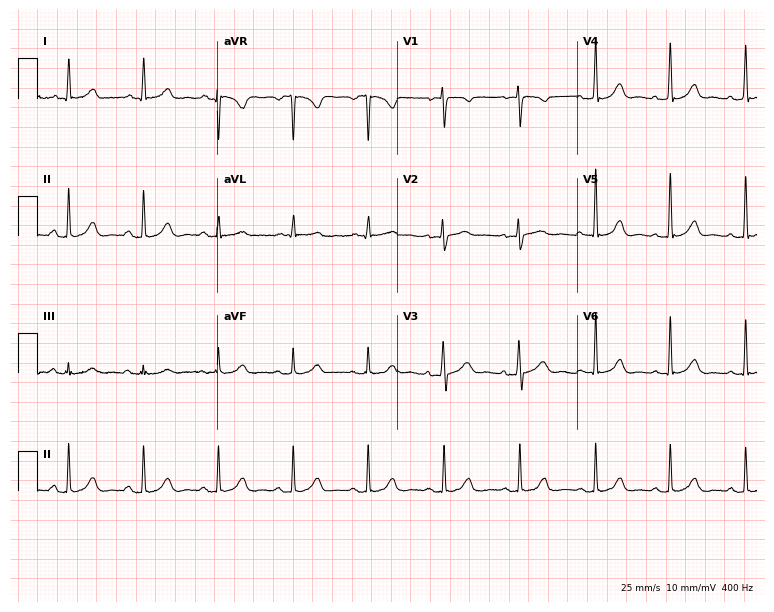
Electrocardiogram (7.3-second recording at 400 Hz), a 51-year-old female patient. Of the six screened findings (first-degree AV block, right bundle branch block, left bundle branch block, sinus bradycardia, atrial fibrillation, sinus tachycardia), none is recorded. Other findings, if any, are not listed.